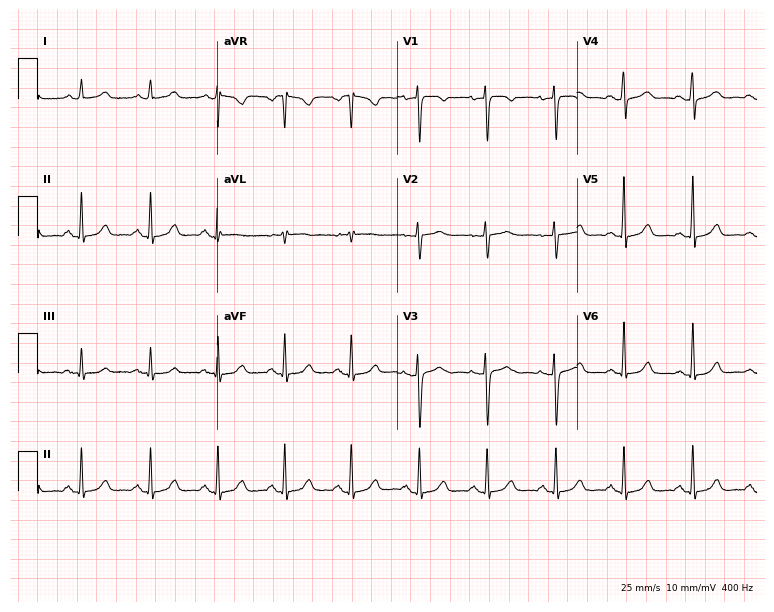
12-lead ECG from a 42-year-old female patient. Labelled as a normal ECG.